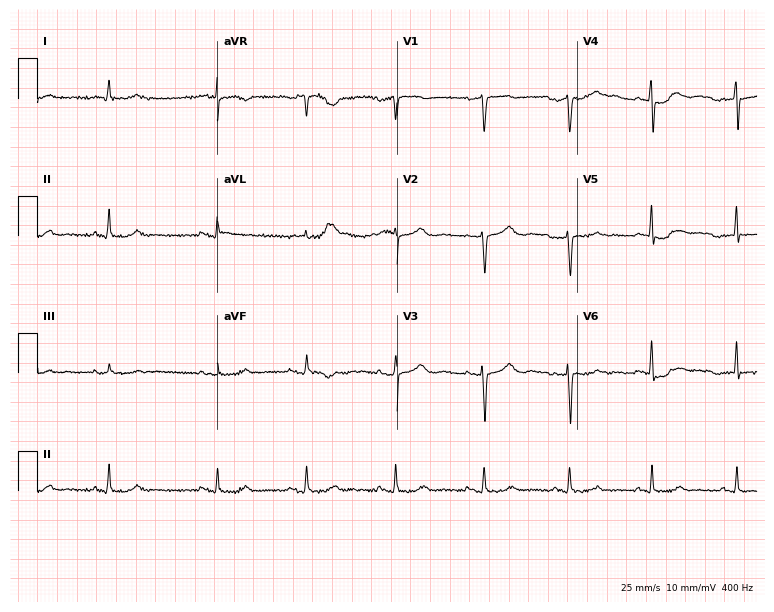
ECG — a 70-year-old male patient. Screened for six findings — first-degree AV block, right bundle branch block, left bundle branch block, sinus bradycardia, atrial fibrillation, sinus tachycardia — none is recorded.